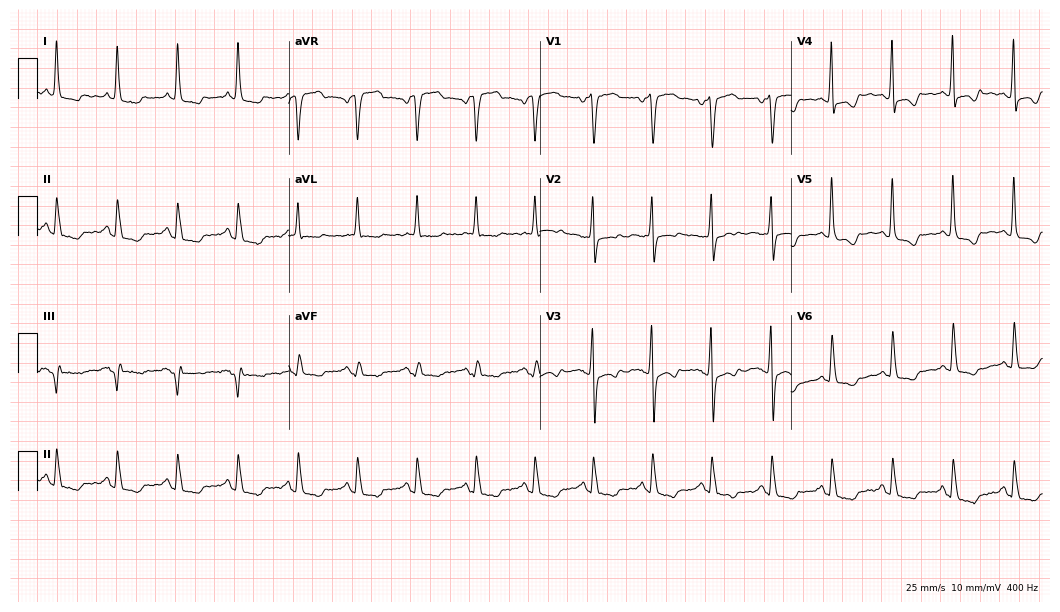
12-lead ECG (10.2-second recording at 400 Hz) from a 71-year-old female patient. Screened for six findings — first-degree AV block, right bundle branch block, left bundle branch block, sinus bradycardia, atrial fibrillation, sinus tachycardia — none is recorded. Only these six findings were labelled.